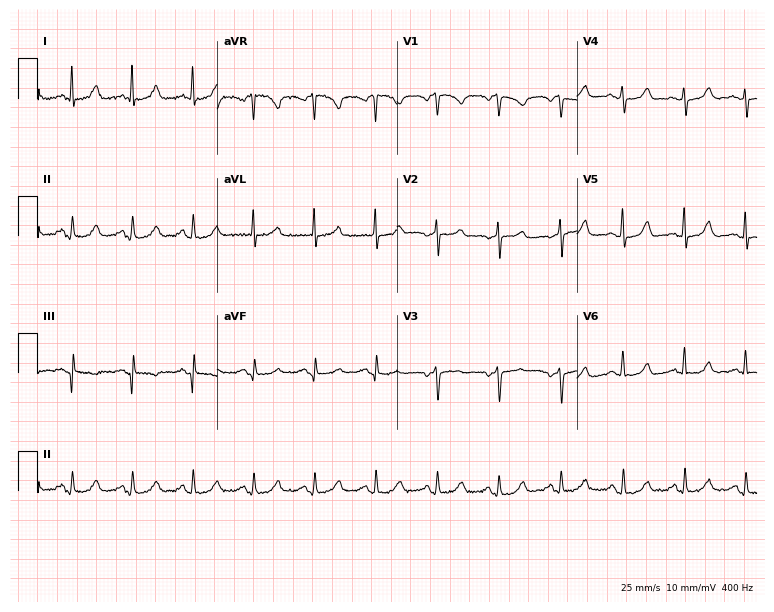
ECG (7.3-second recording at 400 Hz) — a 70-year-old female. Screened for six findings — first-degree AV block, right bundle branch block (RBBB), left bundle branch block (LBBB), sinus bradycardia, atrial fibrillation (AF), sinus tachycardia — none is recorded. Only these six findings were labelled.